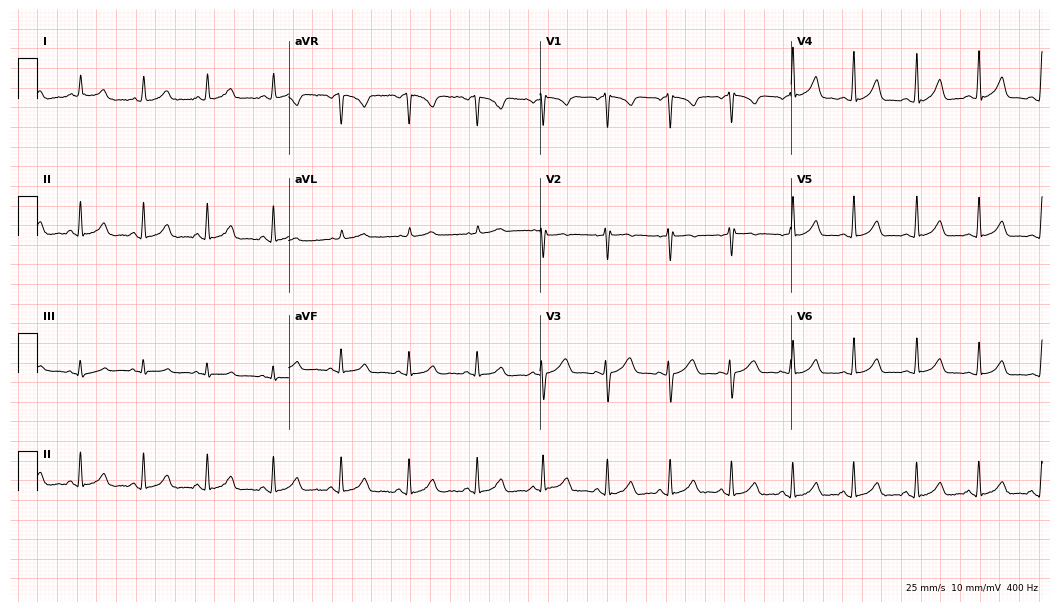
ECG (10.2-second recording at 400 Hz) — a 23-year-old female. Labelled as a normal ECG.